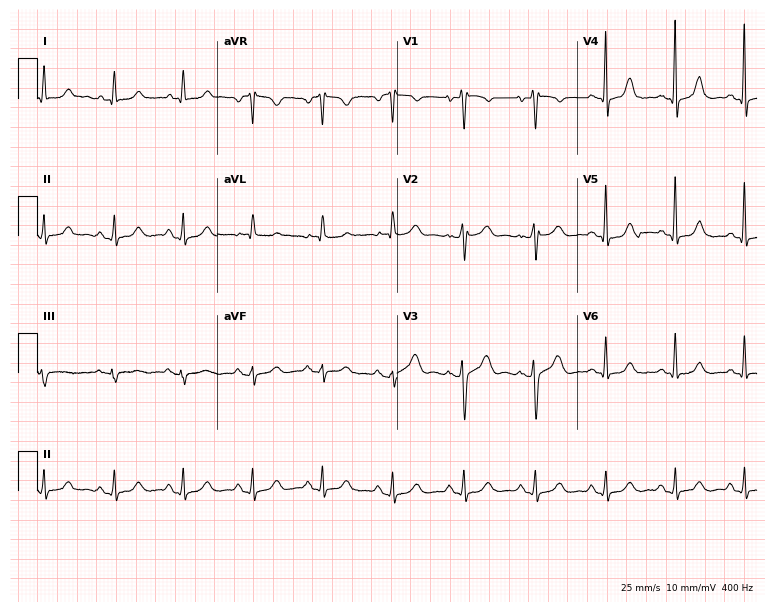
Standard 12-lead ECG recorded from a female patient, 48 years old. None of these six findings is recorded: first-degree AV block, right bundle branch block, left bundle branch block, sinus bradycardia, atrial fibrillation, sinus tachycardia.